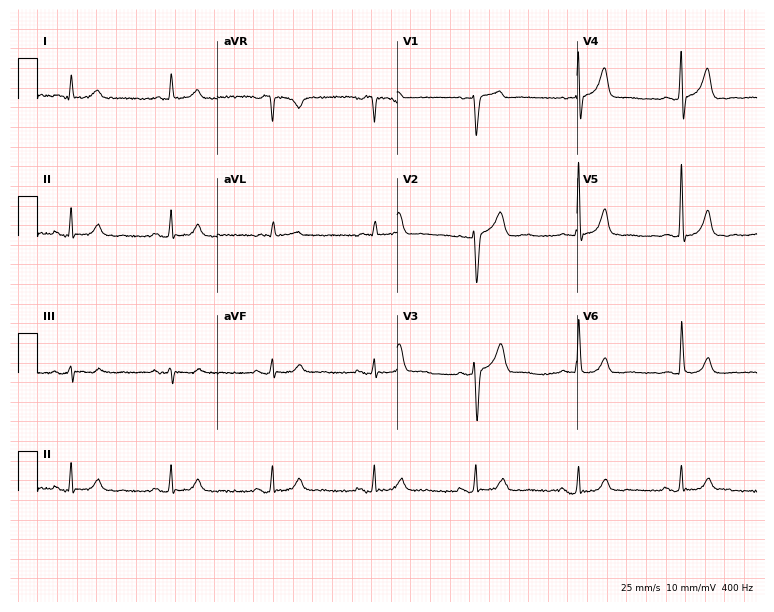
12-lead ECG from a 68-year-old male patient (7.3-second recording at 400 Hz). Recorded interpretation: within normal limits.